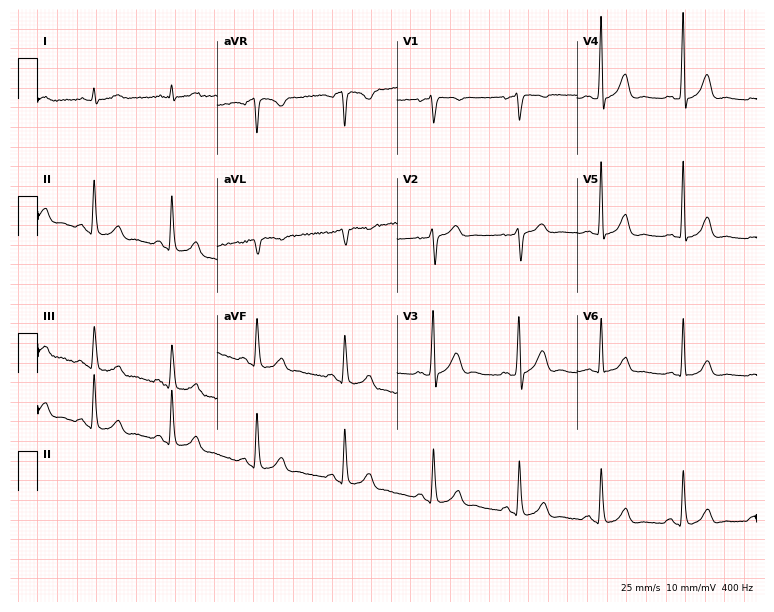
12-lead ECG from a 35-year-old male (7.3-second recording at 400 Hz). No first-degree AV block, right bundle branch block, left bundle branch block, sinus bradycardia, atrial fibrillation or sinus tachycardia recorded for this tracing.